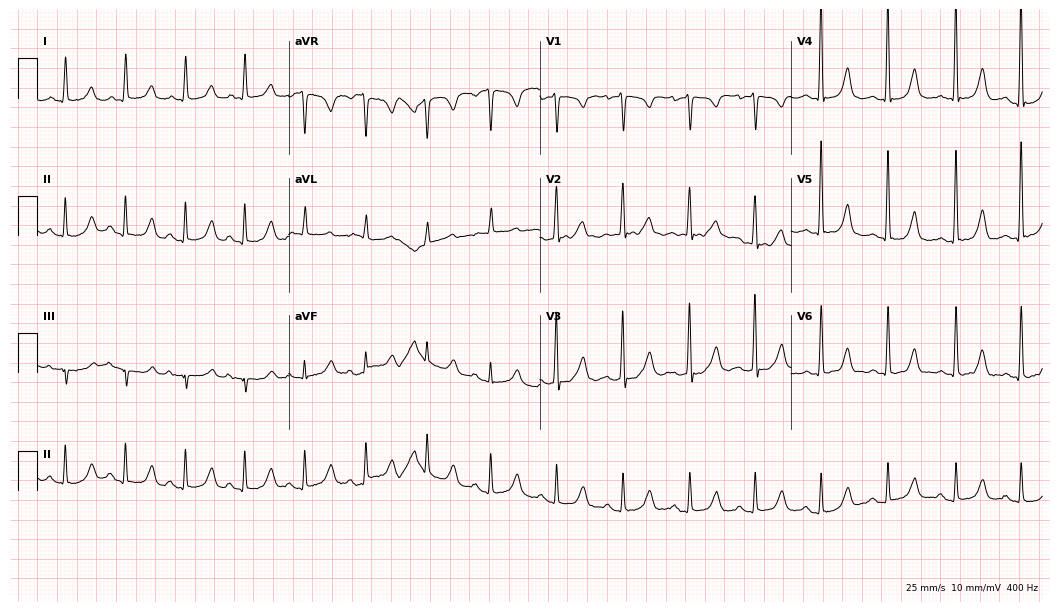
ECG (10.2-second recording at 400 Hz) — a female, 64 years old. Screened for six findings — first-degree AV block, right bundle branch block, left bundle branch block, sinus bradycardia, atrial fibrillation, sinus tachycardia — none is recorded. Only these six findings were labelled.